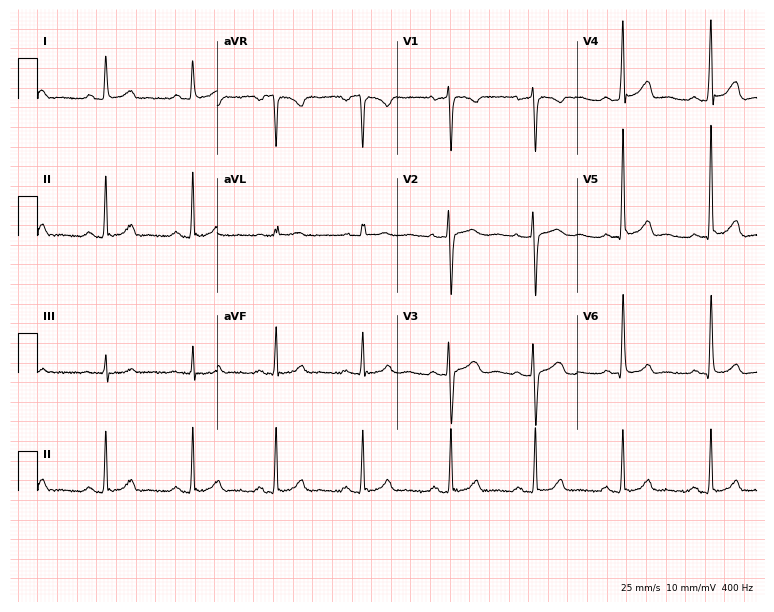
Electrocardiogram, a 44-year-old woman. Overall reading on record: normal ECG.